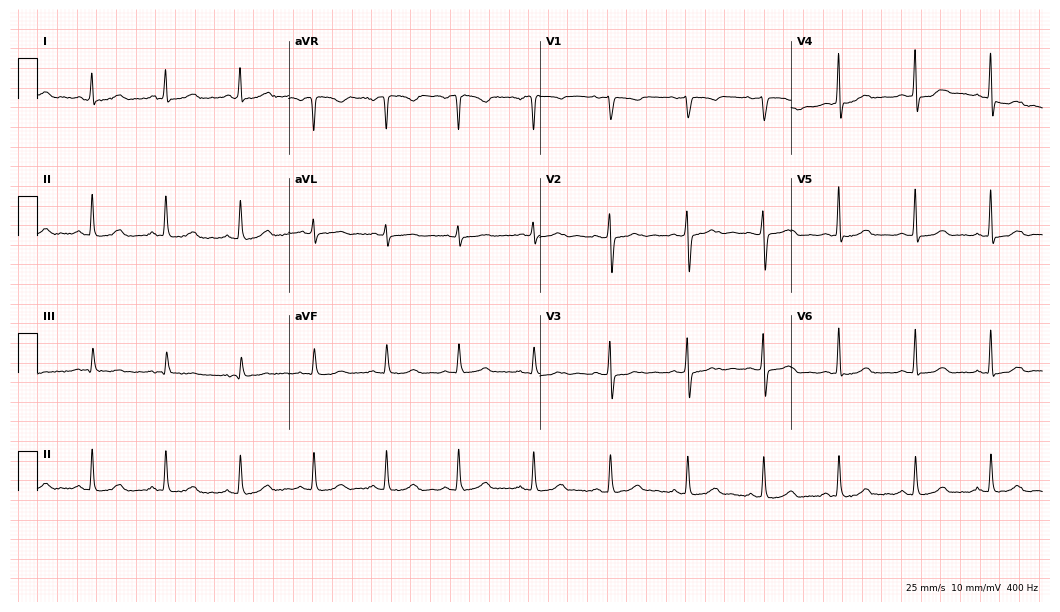
Electrocardiogram, a female, 46 years old. Of the six screened findings (first-degree AV block, right bundle branch block, left bundle branch block, sinus bradycardia, atrial fibrillation, sinus tachycardia), none is recorded.